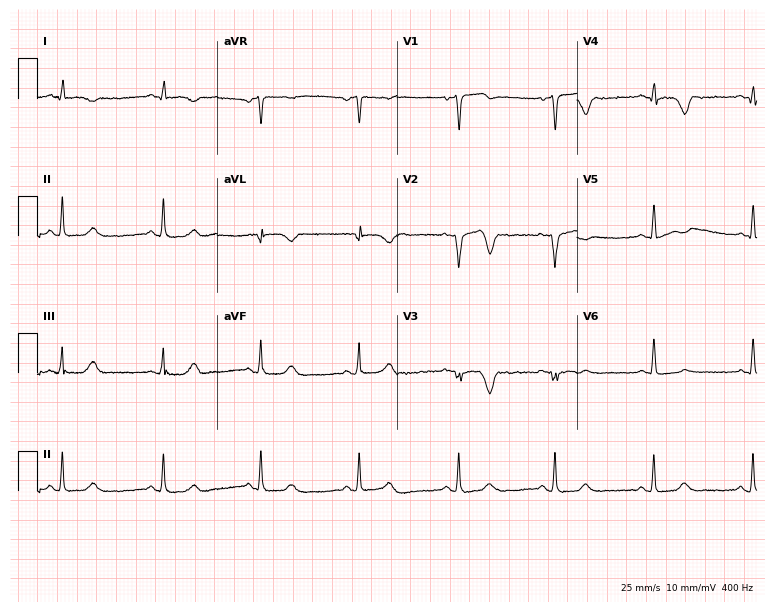
ECG — a male, 52 years old. Screened for six findings — first-degree AV block, right bundle branch block, left bundle branch block, sinus bradycardia, atrial fibrillation, sinus tachycardia — none is recorded.